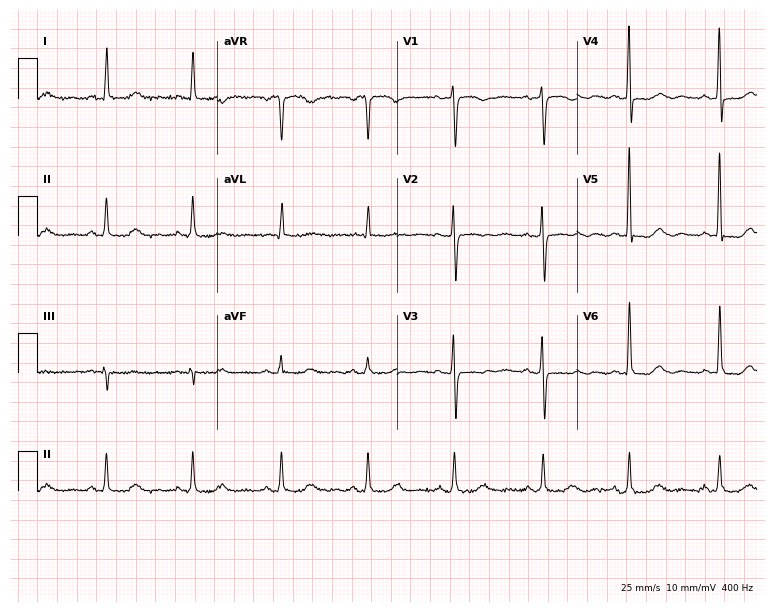
Standard 12-lead ECG recorded from a female, 77 years old (7.3-second recording at 400 Hz). None of these six findings is recorded: first-degree AV block, right bundle branch block, left bundle branch block, sinus bradycardia, atrial fibrillation, sinus tachycardia. Findings outside these six are not listed.